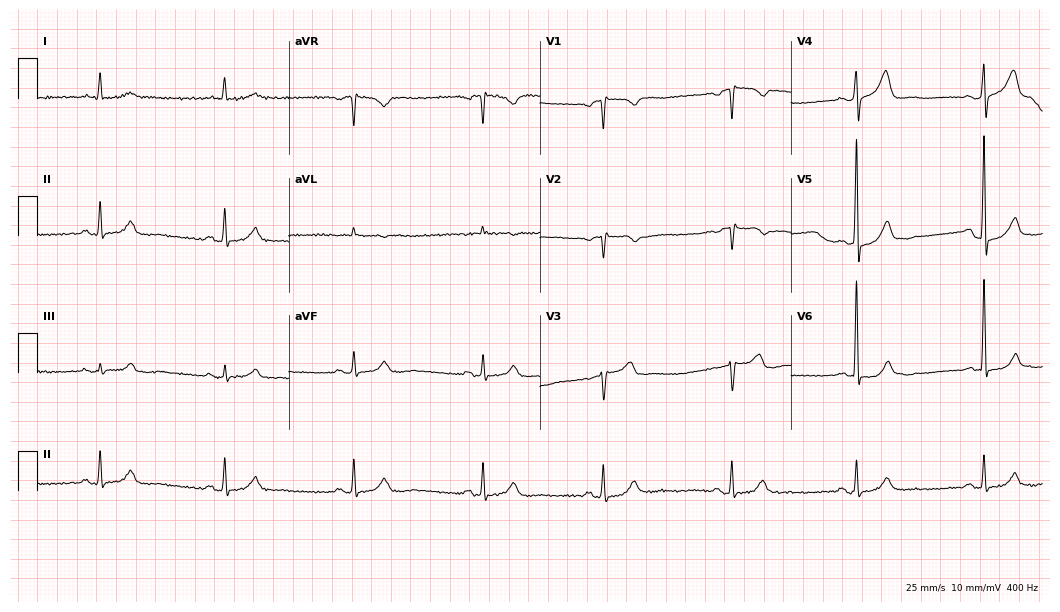
Standard 12-lead ECG recorded from a man, 69 years old (10.2-second recording at 400 Hz). The tracing shows sinus bradycardia (a sinus rate of 50 beats per minute or less).